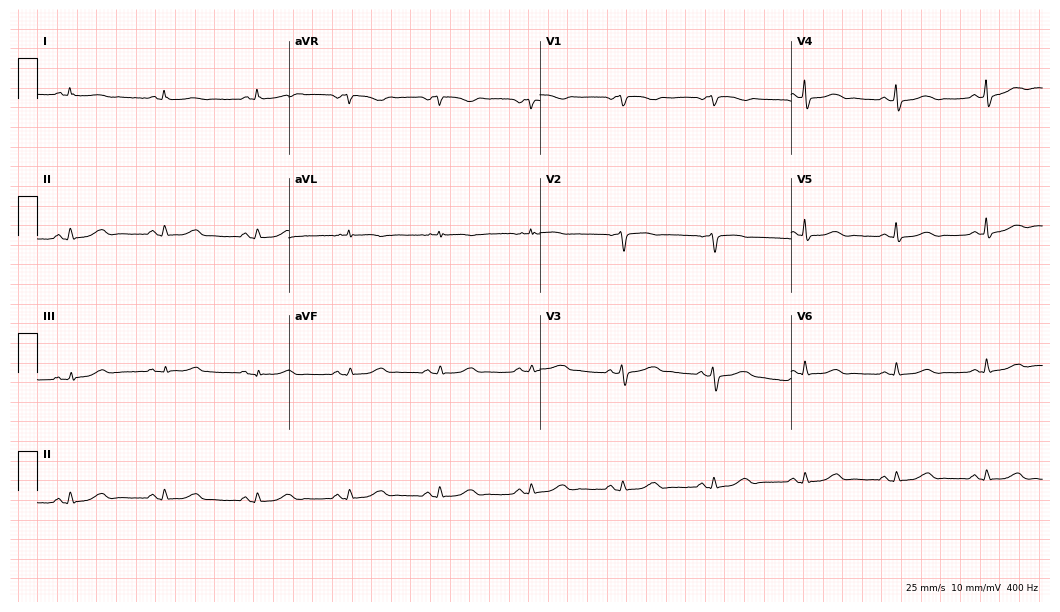
Electrocardiogram, a woman, 59 years old. Of the six screened findings (first-degree AV block, right bundle branch block (RBBB), left bundle branch block (LBBB), sinus bradycardia, atrial fibrillation (AF), sinus tachycardia), none is recorded.